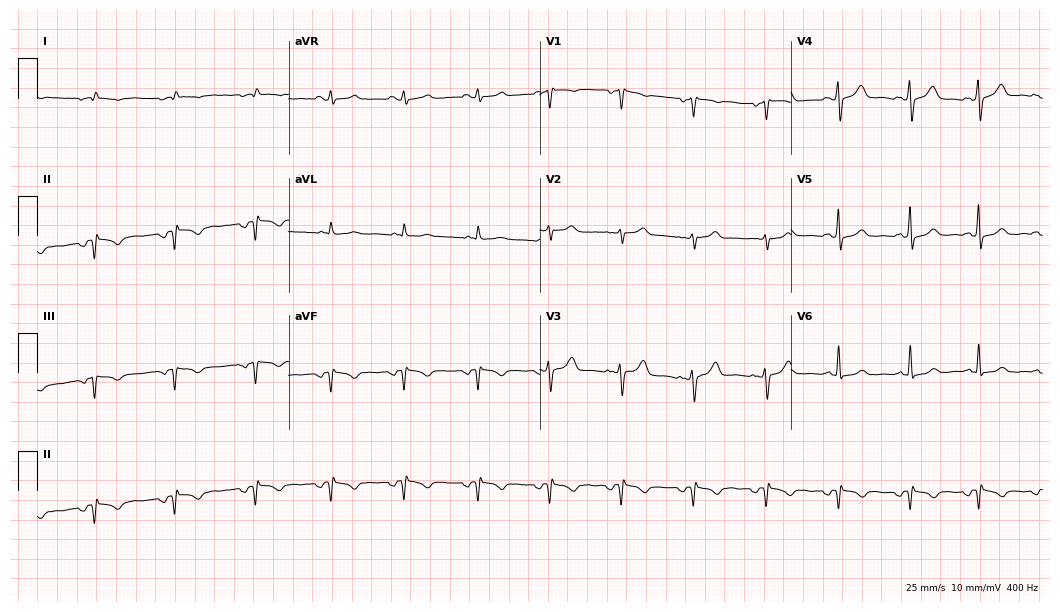
12-lead ECG from a 47-year-old female patient (10.2-second recording at 400 Hz). No first-degree AV block, right bundle branch block (RBBB), left bundle branch block (LBBB), sinus bradycardia, atrial fibrillation (AF) or sinus tachycardia recorded for this tracing. Findings outside these six are not listed.